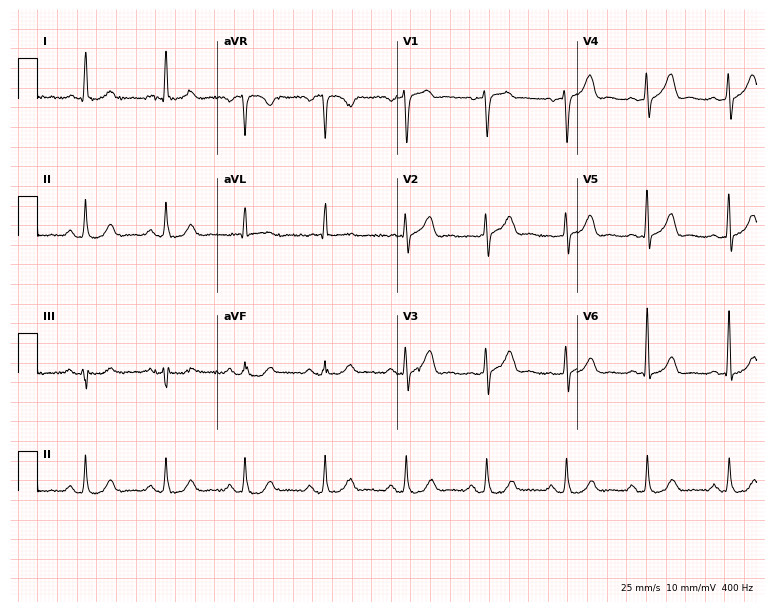
12-lead ECG from a male patient, 70 years old. Recorded interpretation: within normal limits.